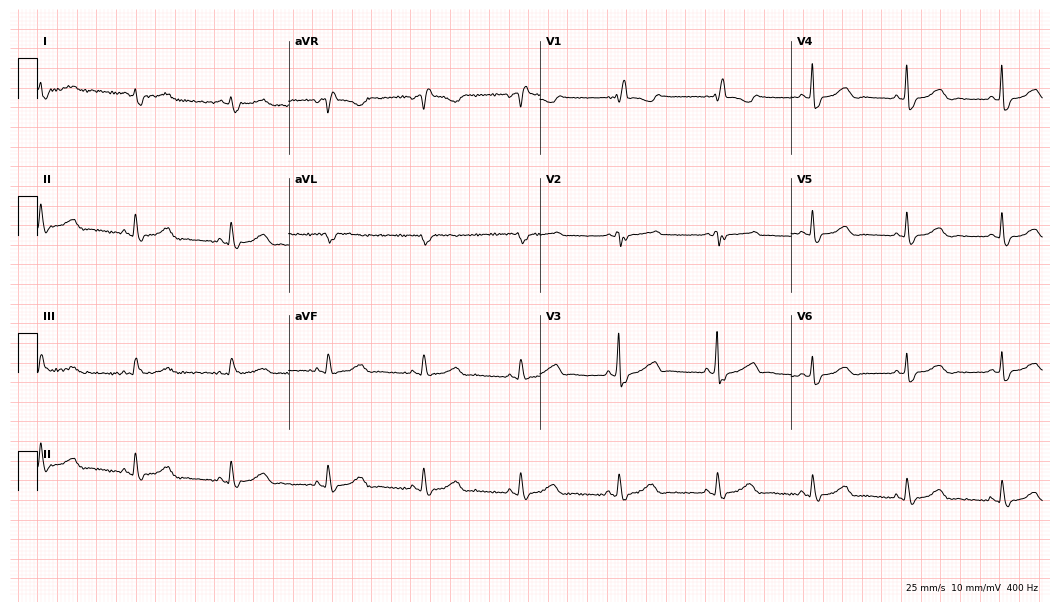
Electrocardiogram, a female patient, 76 years old. Interpretation includes right bundle branch block.